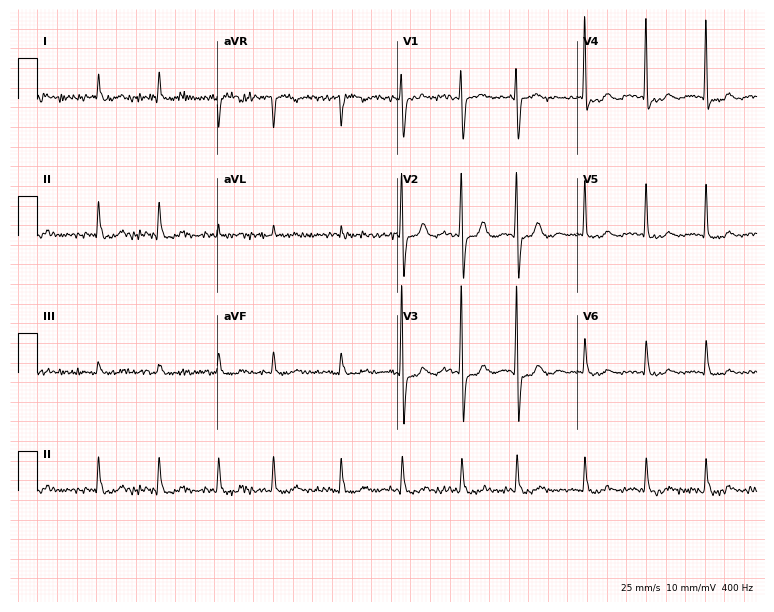
Electrocardiogram (7.3-second recording at 400 Hz), an 81-year-old man. Interpretation includes atrial fibrillation.